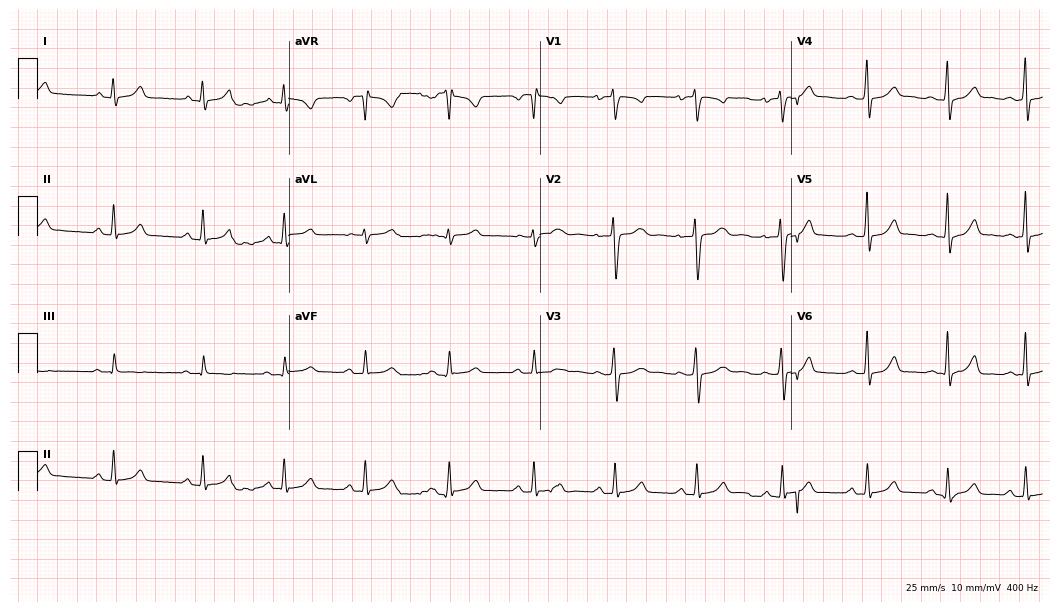
12-lead ECG (10.2-second recording at 400 Hz) from a 23-year-old female patient. Labelled as a normal ECG.